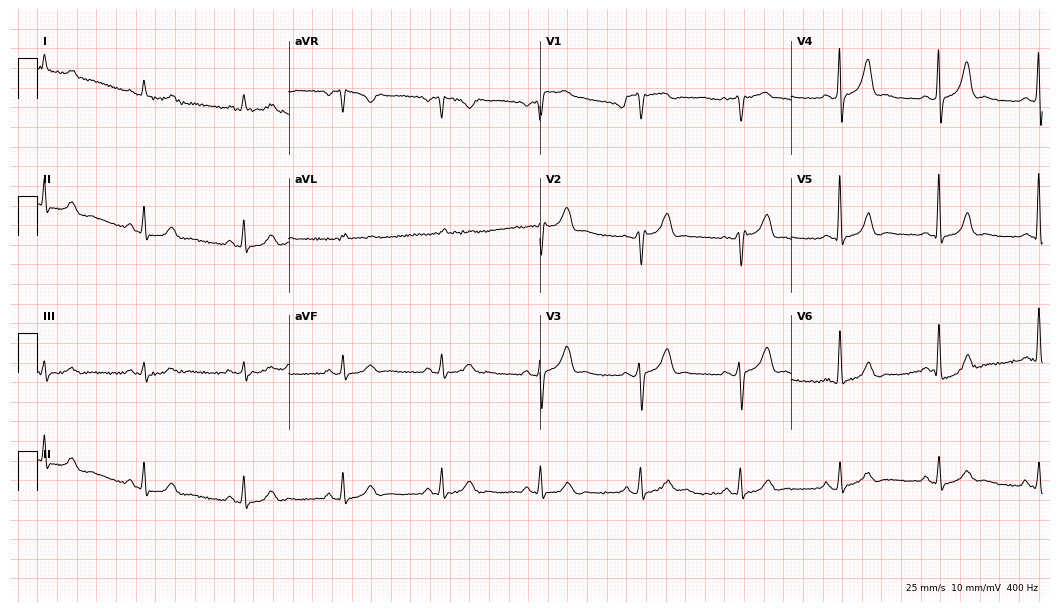
Electrocardiogram (10.2-second recording at 400 Hz), a male, 67 years old. Of the six screened findings (first-degree AV block, right bundle branch block, left bundle branch block, sinus bradycardia, atrial fibrillation, sinus tachycardia), none is recorded. Other findings, if any, are not listed.